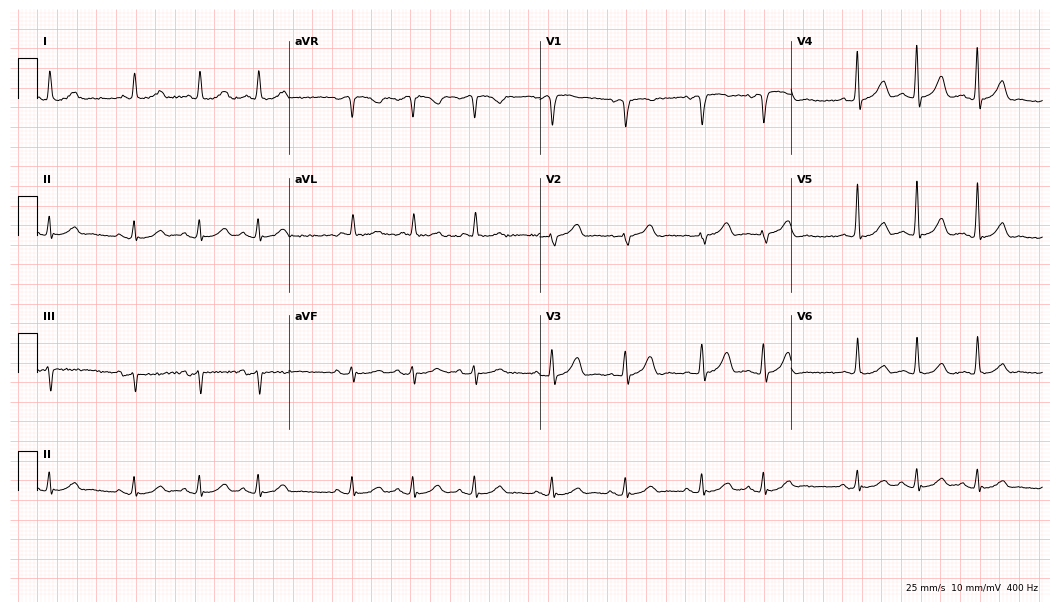
Resting 12-lead electrocardiogram (10.2-second recording at 400 Hz). Patient: an 80-year-old male. None of these six findings is recorded: first-degree AV block, right bundle branch block (RBBB), left bundle branch block (LBBB), sinus bradycardia, atrial fibrillation (AF), sinus tachycardia.